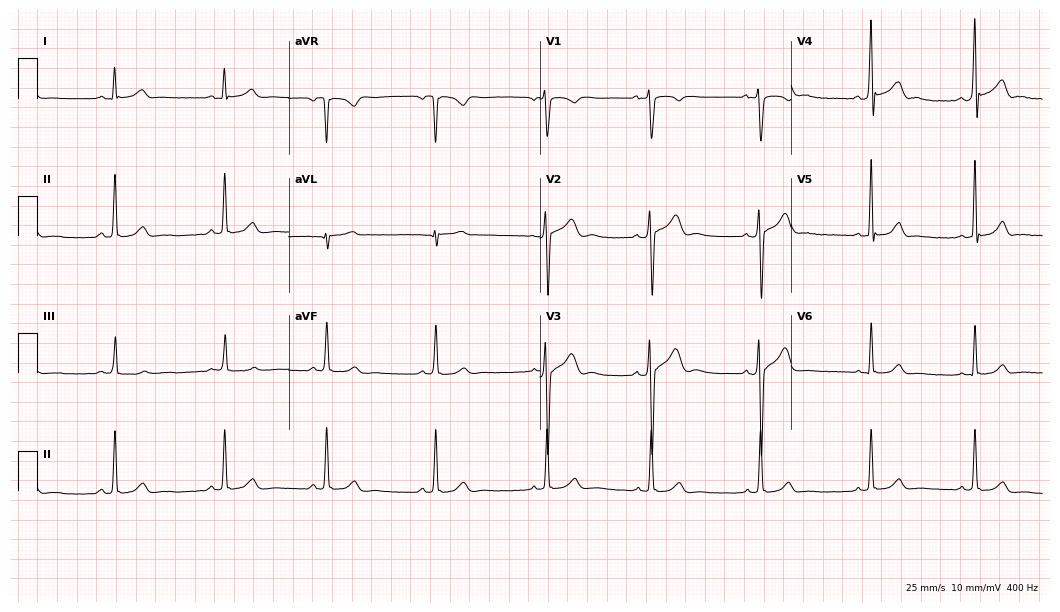
12-lead ECG from a 21-year-old male. Labelled as a normal ECG.